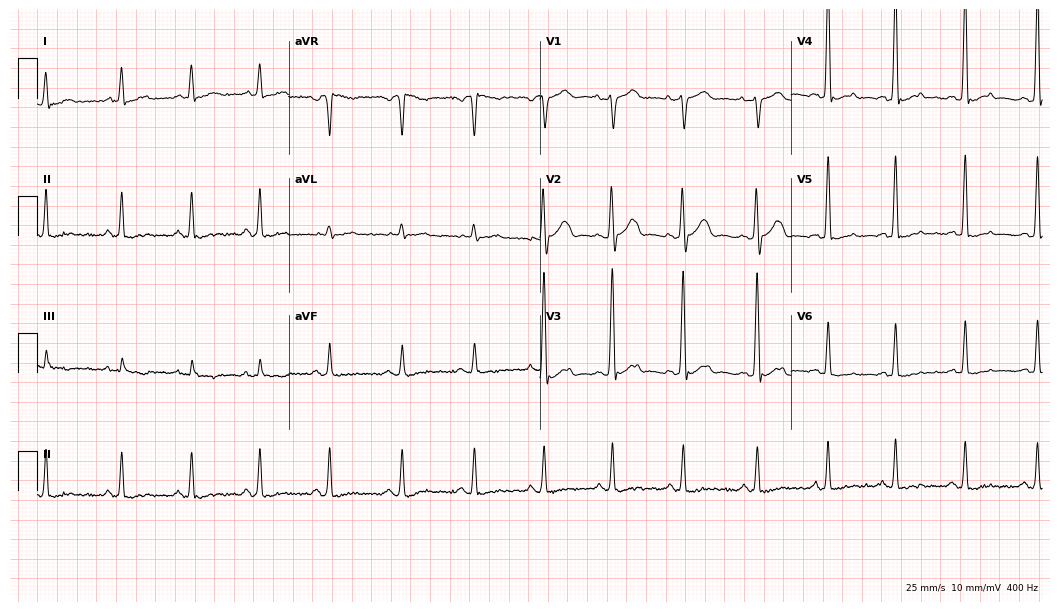
Resting 12-lead electrocardiogram. Patient: a male, 31 years old. None of these six findings is recorded: first-degree AV block, right bundle branch block (RBBB), left bundle branch block (LBBB), sinus bradycardia, atrial fibrillation (AF), sinus tachycardia.